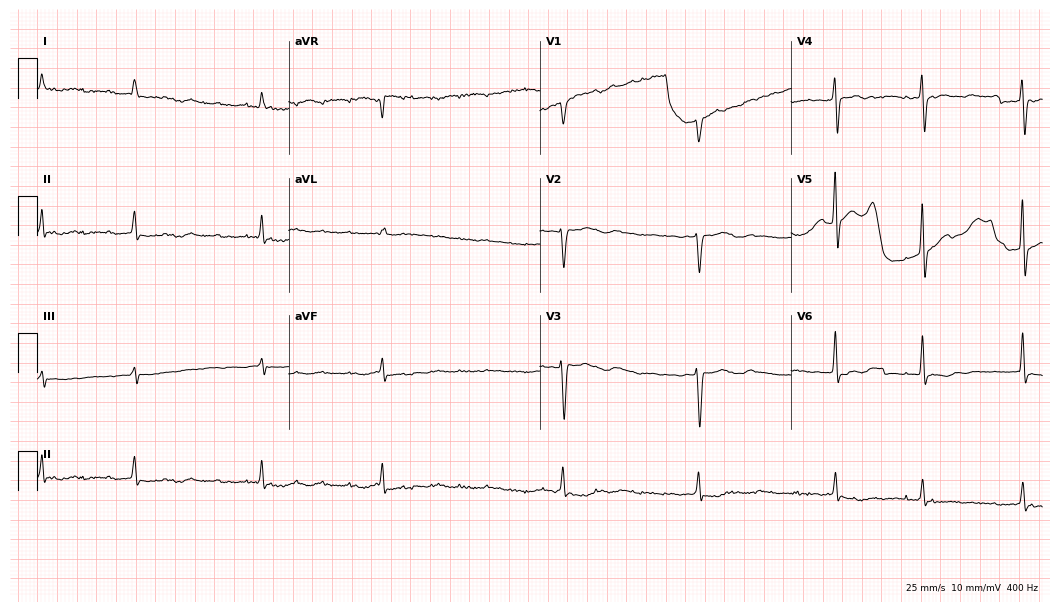
Standard 12-lead ECG recorded from a female, 82 years old (10.2-second recording at 400 Hz). None of these six findings is recorded: first-degree AV block, right bundle branch block, left bundle branch block, sinus bradycardia, atrial fibrillation, sinus tachycardia.